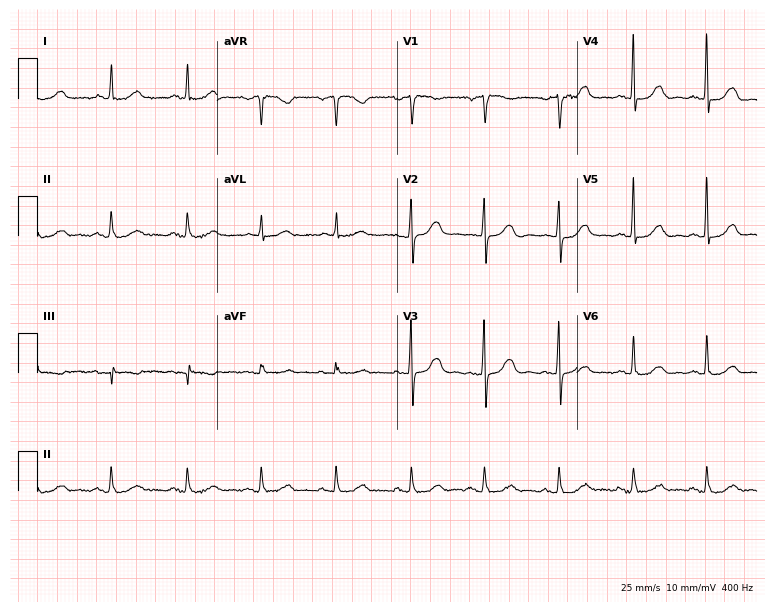
Resting 12-lead electrocardiogram (7.3-second recording at 400 Hz). Patient: a female, 83 years old. Read as a normal ECG.